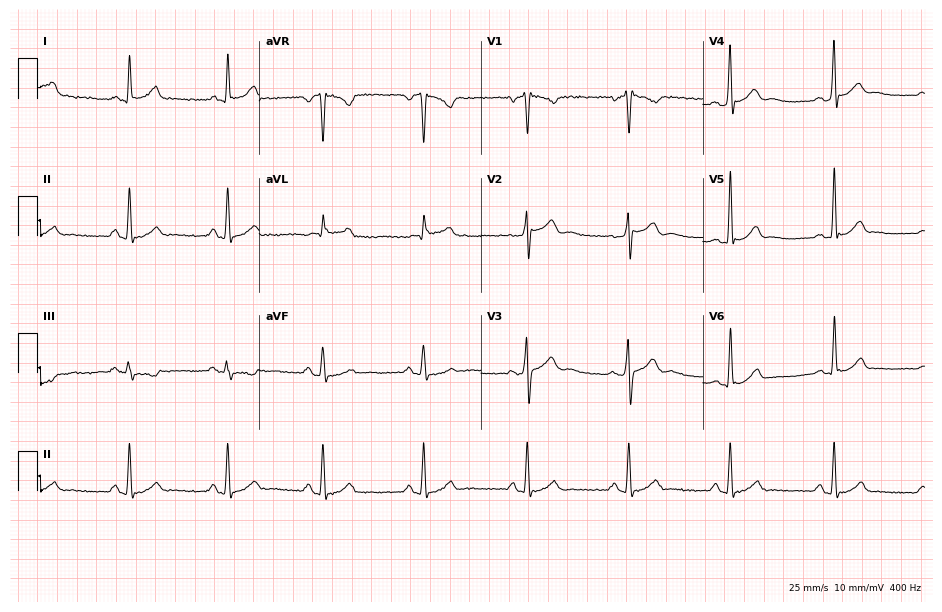
ECG (9-second recording at 400 Hz) — a 35-year-old man. Screened for six findings — first-degree AV block, right bundle branch block (RBBB), left bundle branch block (LBBB), sinus bradycardia, atrial fibrillation (AF), sinus tachycardia — none is recorded.